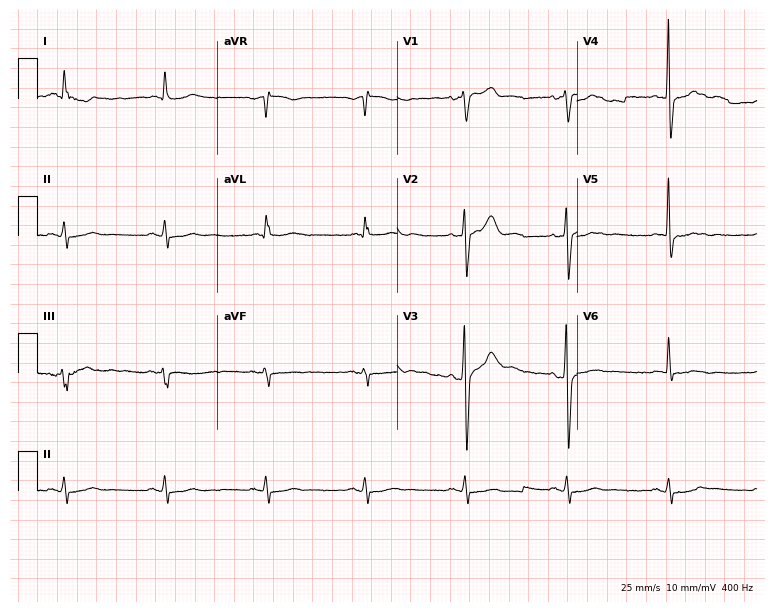
Standard 12-lead ECG recorded from a 62-year-old male. None of these six findings is recorded: first-degree AV block, right bundle branch block, left bundle branch block, sinus bradycardia, atrial fibrillation, sinus tachycardia. Findings outside these six are not listed.